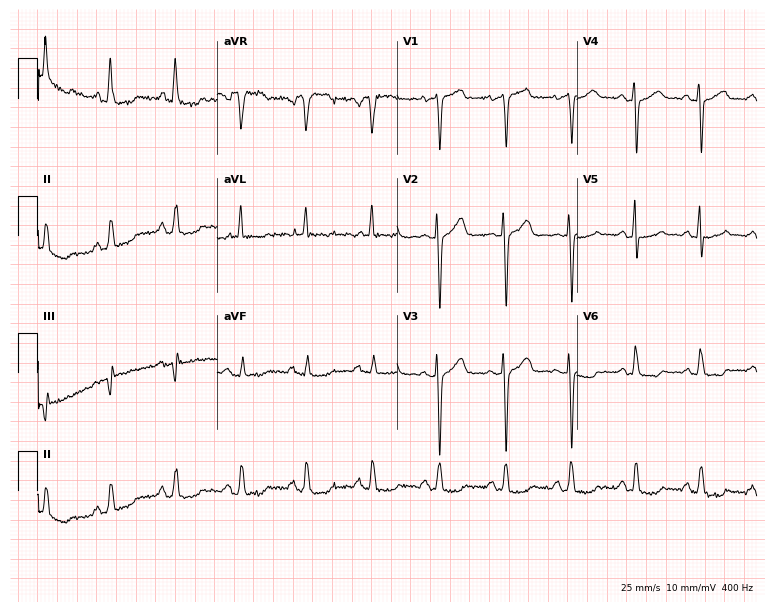
Resting 12-lead electrocardiogram. Patient: a female, 67 years old. None of these six findings is recorded: first-degree AV block, right bundle branch block, left bundle branch block, sinus bradycardia, atrial fibrillation, sinus tachycardia. Findings outside these six are not listed.